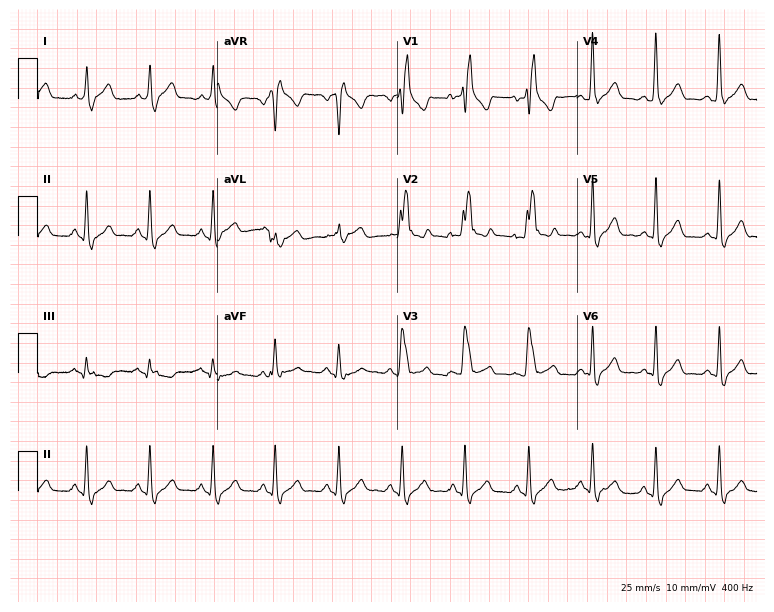
Electrocardiogram, a 48-year-old male patient. Interpretation includes right bundle branch block.